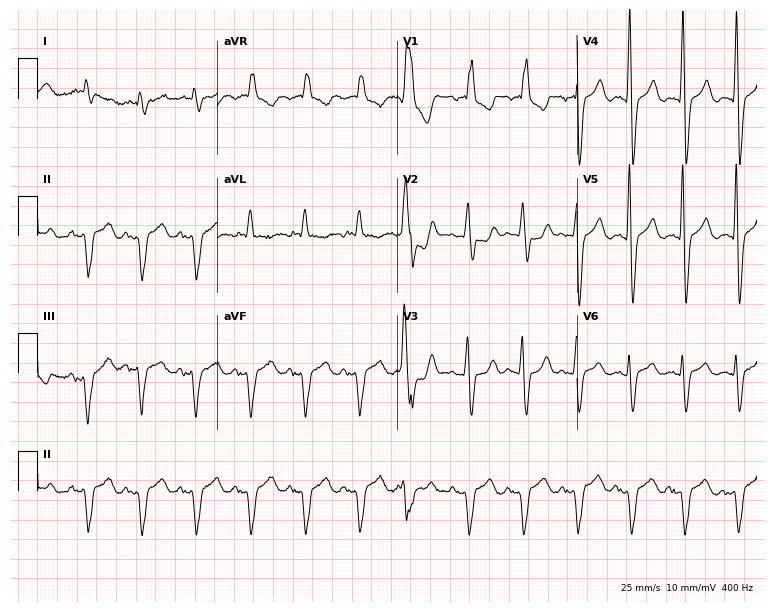
Resting 12-lead electrocardiogram. Patient: an 81-year-old man. The tracing shows right bundle branch block (RBBB), sinus tachycardia (a sinus rate of 100 beats per minute or more).